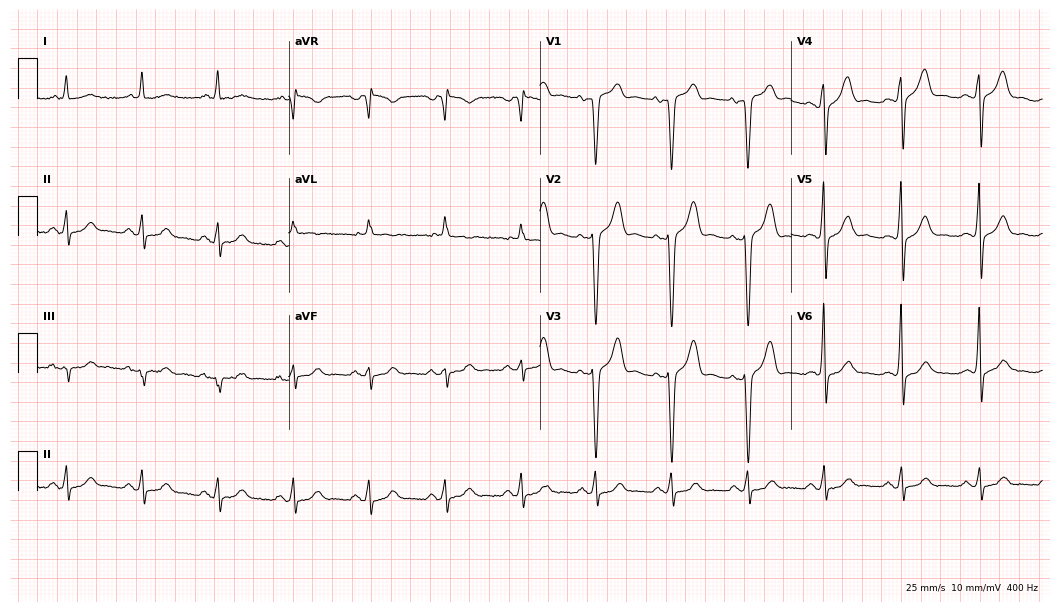
12-lead ECG from a male patient, 66 years old. Recorded interpretation: within normal limits.